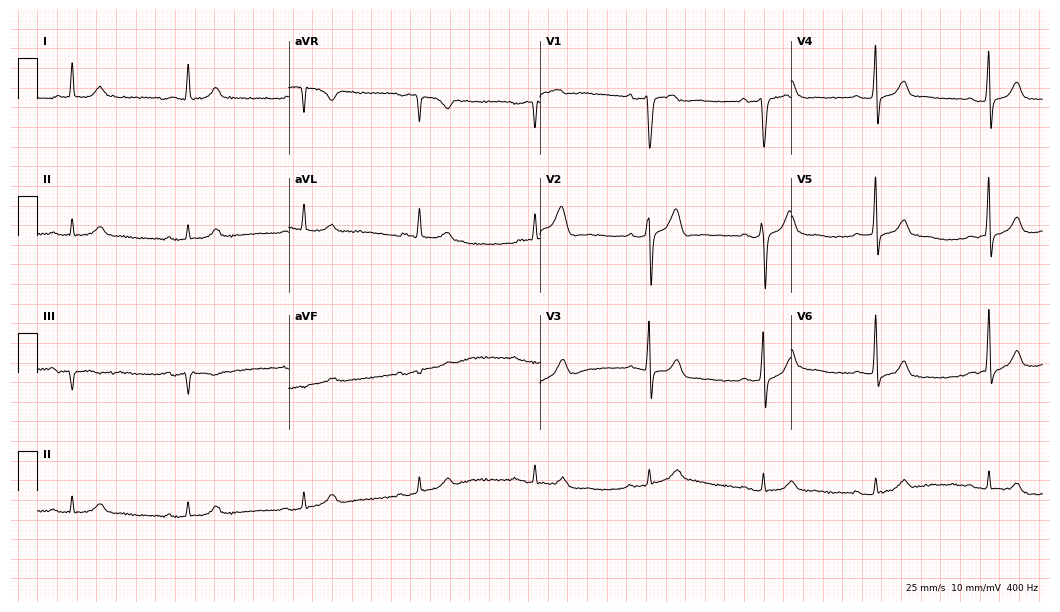
Standard 12-lead ECG recorded from a 61-year-old man (10.2-second recording at 400 Hz). Read as a normal ECG.